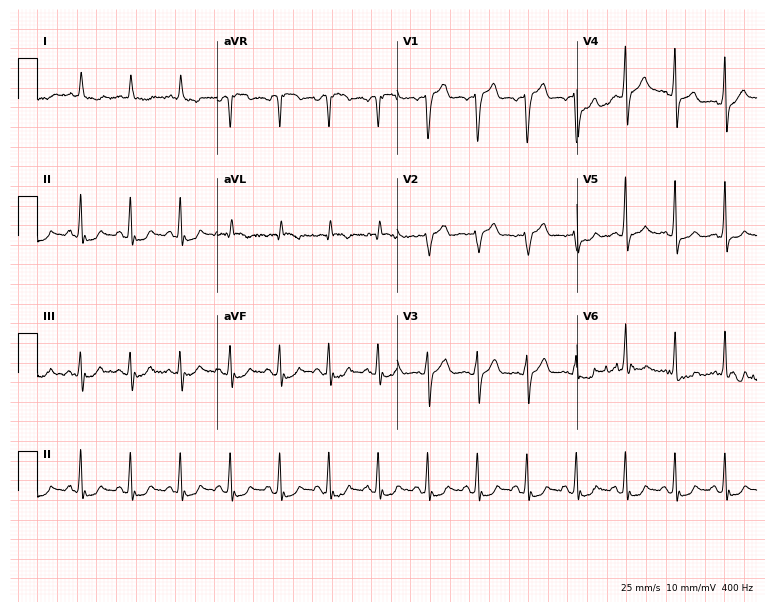
12-lead ECG from a man, 77 years old. Findings include sinus tachycardia (a sinus rate of 100 beats per minute or more).